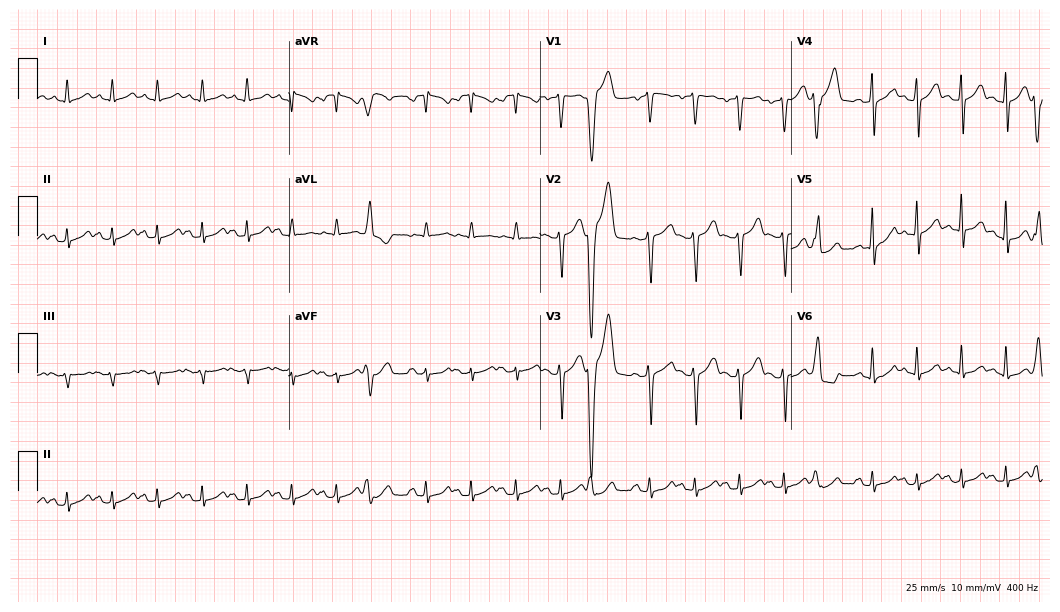
Electrocardiogram, a male patient, 50 years old. Interpretation includes sinus tachycardia (a sinus rate of 100 beats per minute or more).